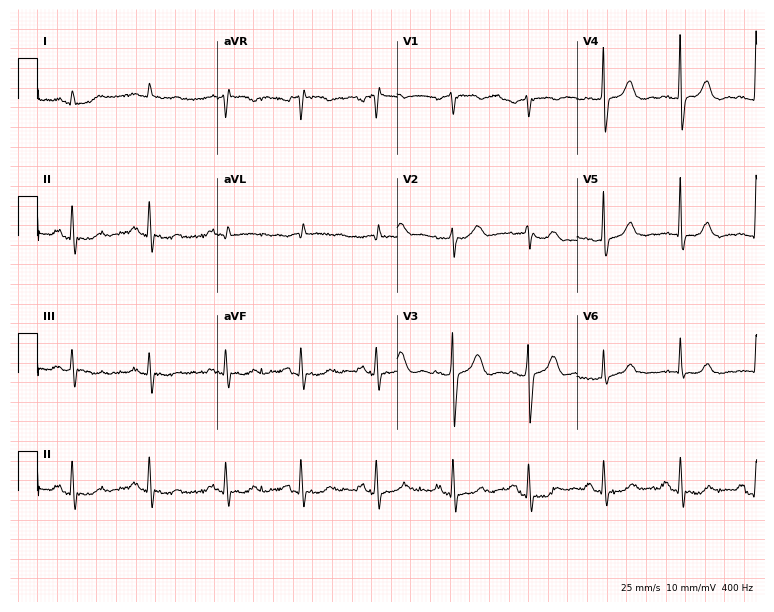
ECG (7.3-second recording at 400 Hz) — a man, 81 years old. Screened for six findings — first-degree AV block, right bundle branch block (RBBB), left bundle branch block (LBBB), sinus bradycardia, atrial fibrillation (AF), sinus tachycardia — none is recorded.